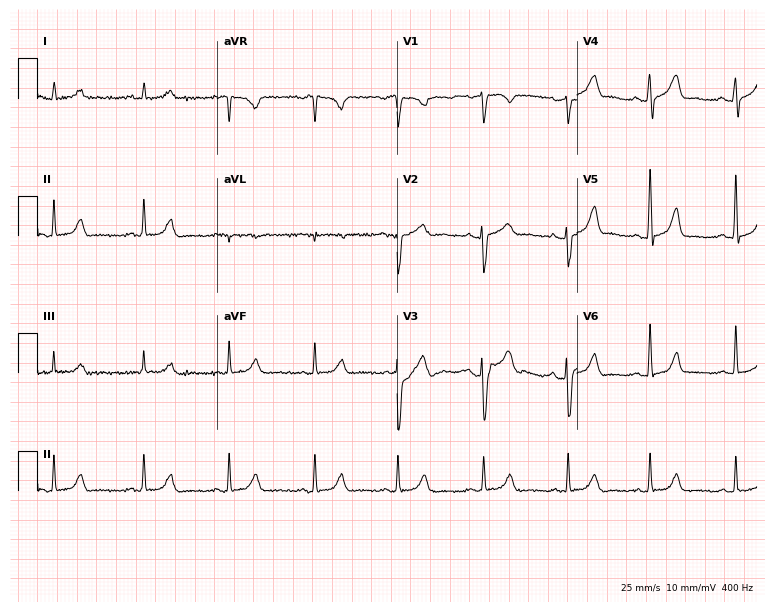
12-lead ECG from a 50-year-old female patient (7.3-second recording at 400 Hz). Recorded interpretation: within normal limits.